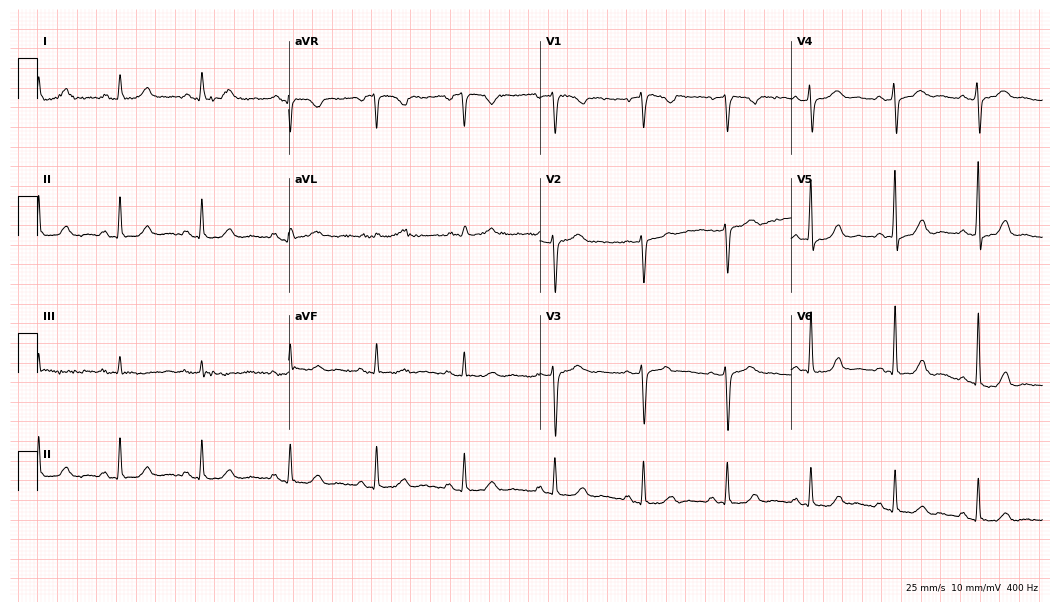
12-lead ECG from a female patient, 55 years old. Labelled as a normal ECG.